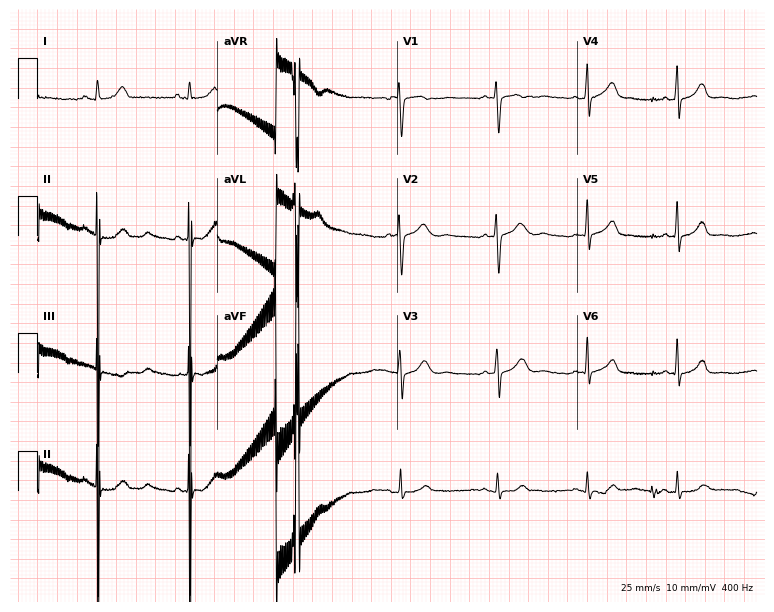
12-lead ECG from a woman, 29 years old (7.3-second recording at 400 Hz). Recorded interpretation: within normal limits.